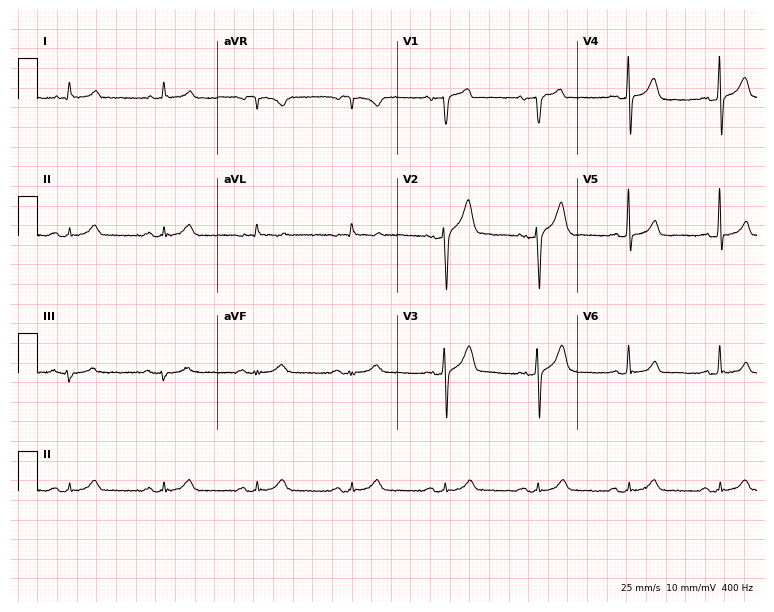
ECG — a man, 63 years old. Labelled as a normal ECG.